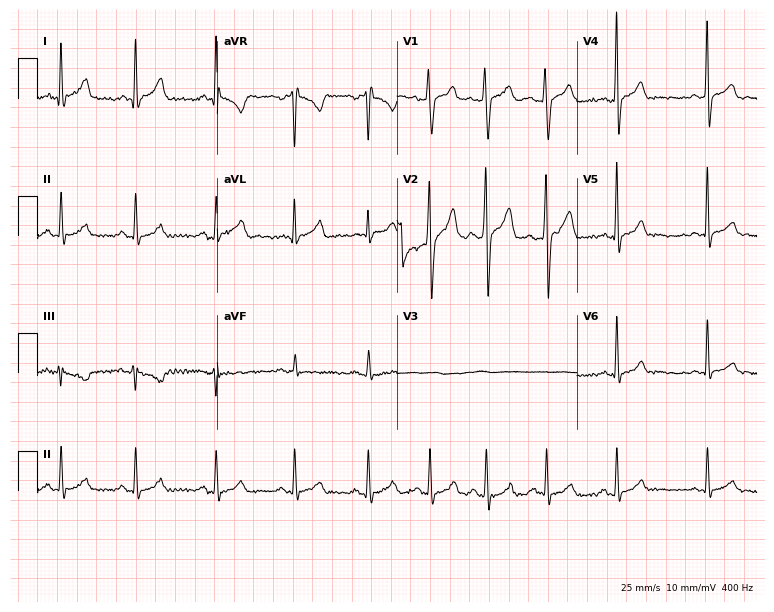
12-lead ECG from a 30-year-old male patient. Screened for six findings — first-degree AV block, right bundle branch block, left bundle branch block, sinus bradycardia, atrial fibrillation, sinus tachycardia — none is recorded.